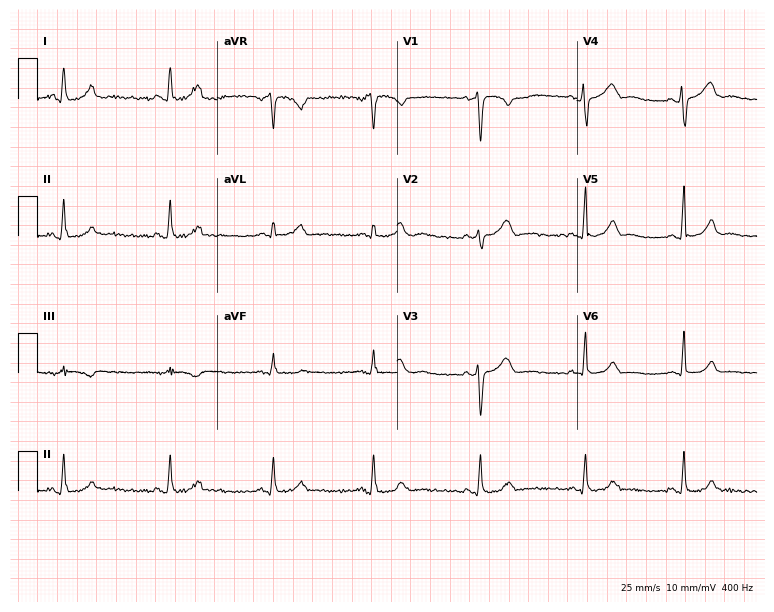
12-lead ECG from a female patient, 37 years old (7.3-second recording at 400 Hz). No first-degree AV block, right bundle branch block, left bundle branch block, sinus bradycardia, atrial fibrillation or sinus tachycardia recorded for this tracing.